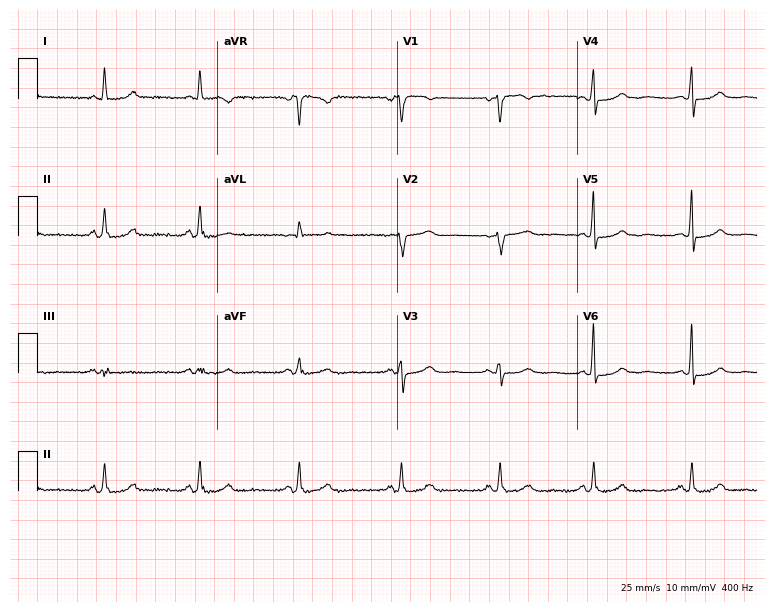
12-lead ECG from a female, 58 years old. Labelled as a normal ECG.